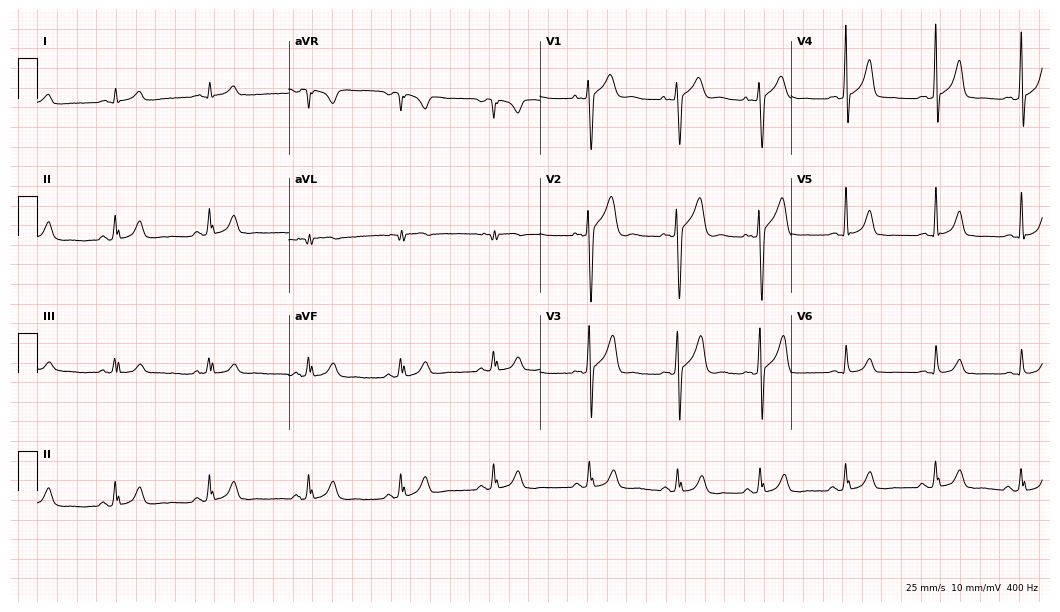
Resting 12-lead electrocardiogram. Patient: a male, 30 years old. Read as a normal ECG.